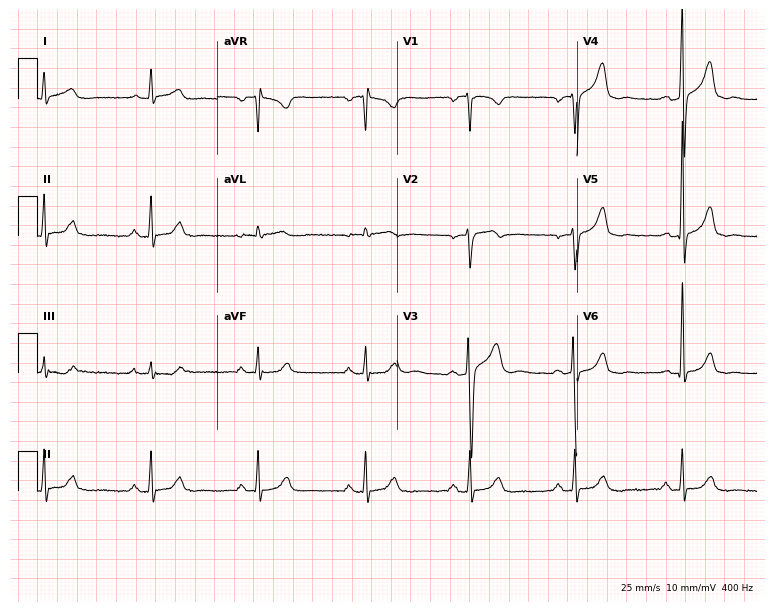
ECG — a man, 69 years old. Screened for six findings — first-degree AV block, right bundle branch block, left bundle branch block, sinus bradycardia, atrial fibrillation, sinus tachycardia — none is recorded.